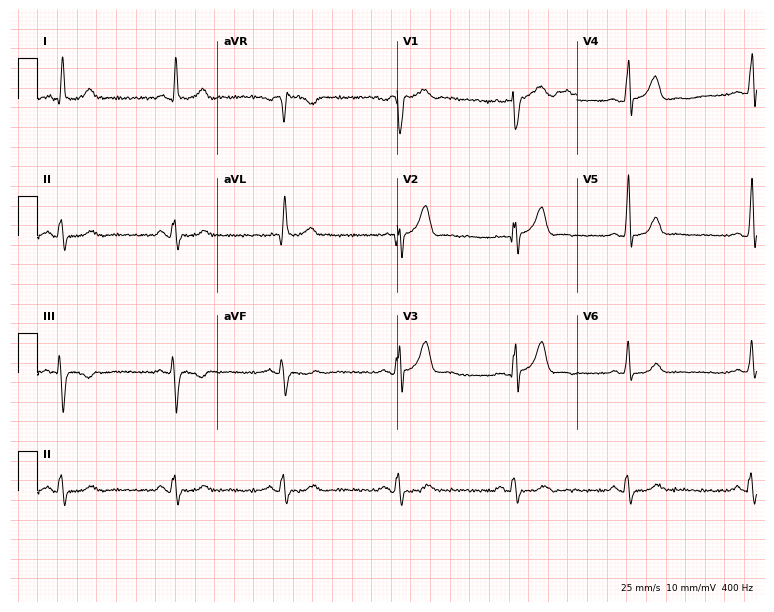
Standard 12-lead ECG recorded from a male, 59 years old. None of these six findings is recorded: first-degree AV block, right bundle branch block, left bundle branch block, sinus bradycardia, atrial fibrillation, sinus tachycardia. Findings outside these six are not listed.